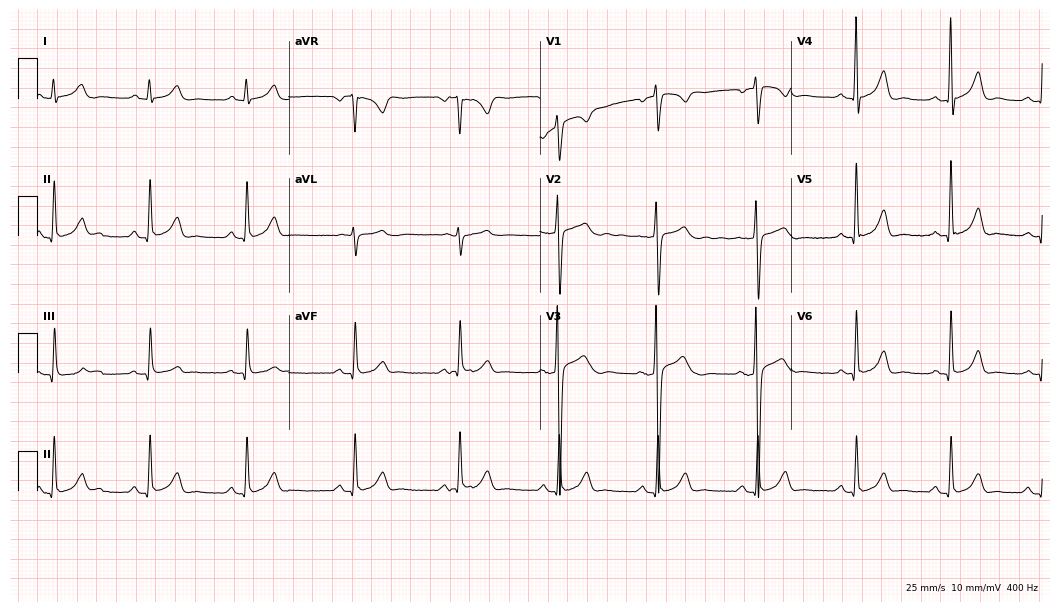
ECG — a male patient, 33 years old. Labelled as a normal ECG.